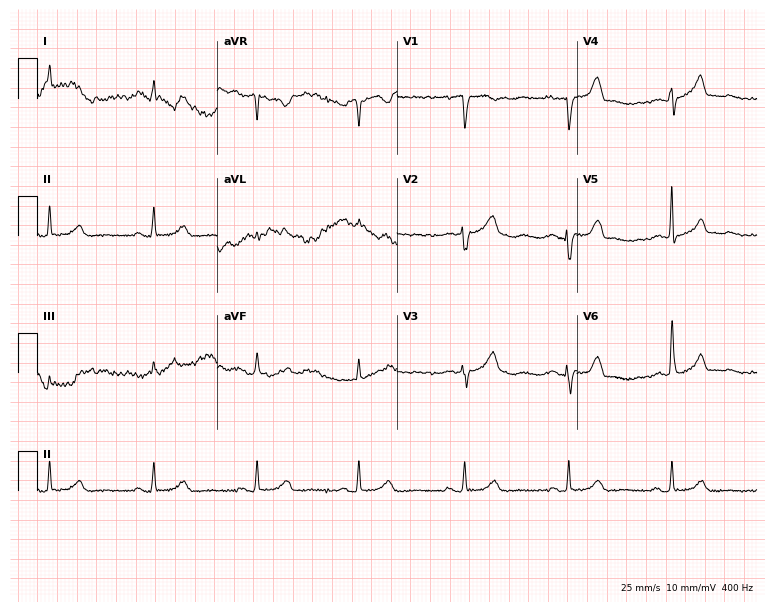
ECG (7.3-second recording at 400 Hz) — a 77-year-old woman. Screened for six findings — first-degree AV block, right bundle branch block, left bundle branch block, sinus bradycardia, atrial fibrillation, sinus tachycardia — none is recorded.